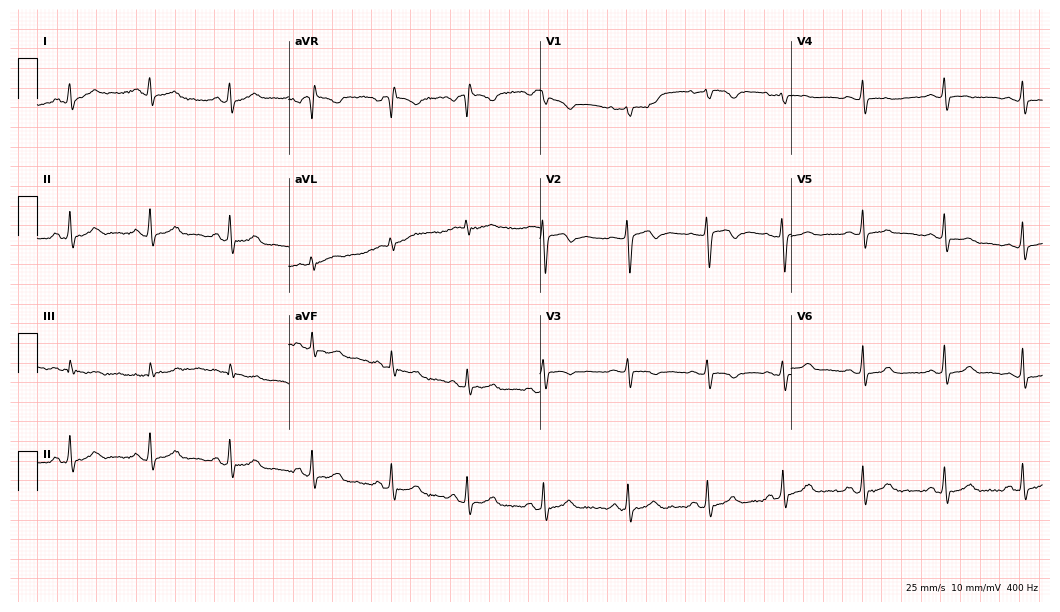
Electrocardiogram, a woman, 19 years old. Of the six screened findings (first-degree AV block, right bundle branch block, left bundle branch block, sinus bradycardia, atrial fibrillation, sinus tachycardia), none is recorded. Only these six findings were labelled.